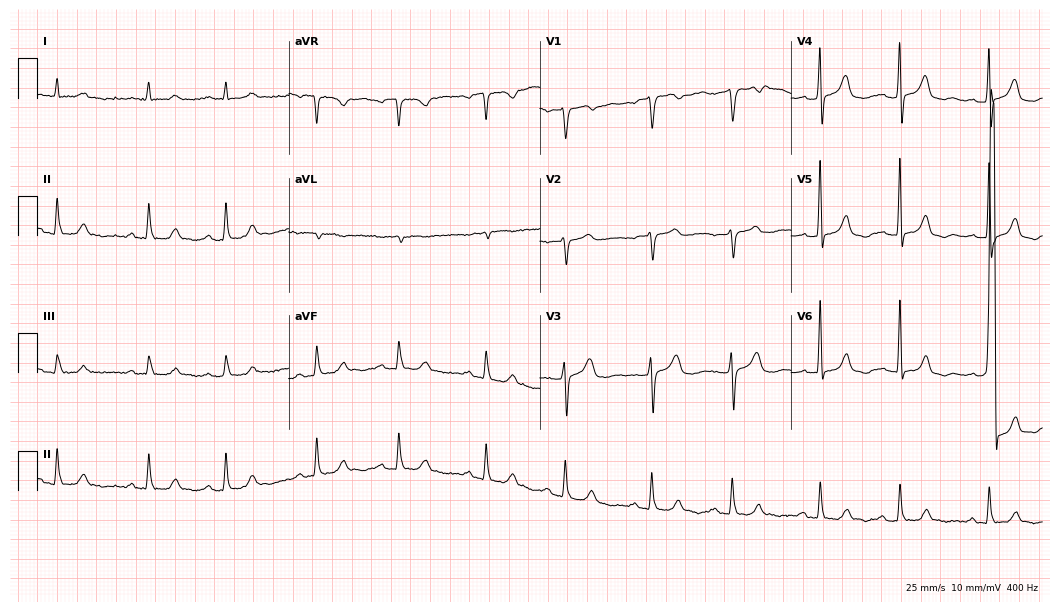
ECG — a male, 82 years old. Labelled as a normal ECG.